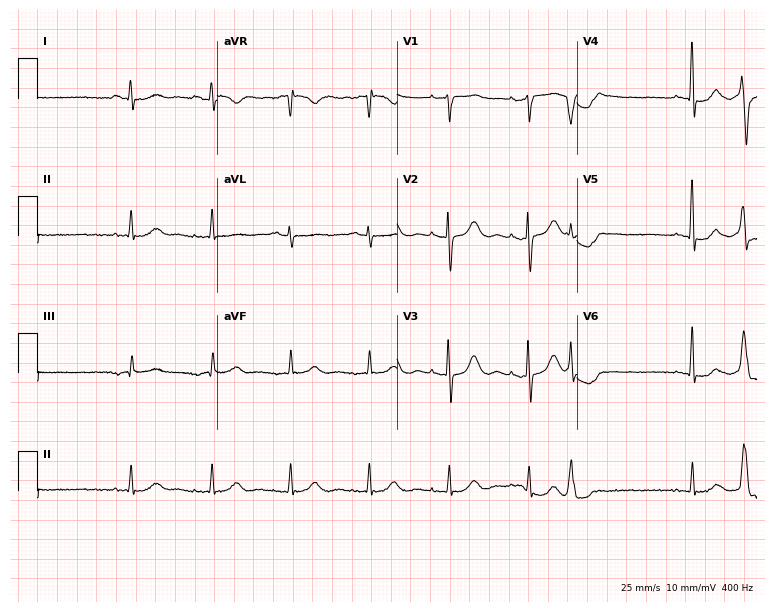
Standard 12-lead ECG recorded from a woman, 68 years old (7.3-second recording at 400 Hz). None of these six findings is recorded: first-degree AV block, right bundle branch block (RBBB), left bundle branch block (LBBB), sinus bradycardia, atrial fibrillation (AF), sinus tachycardia. Findings outside these six are not listed.